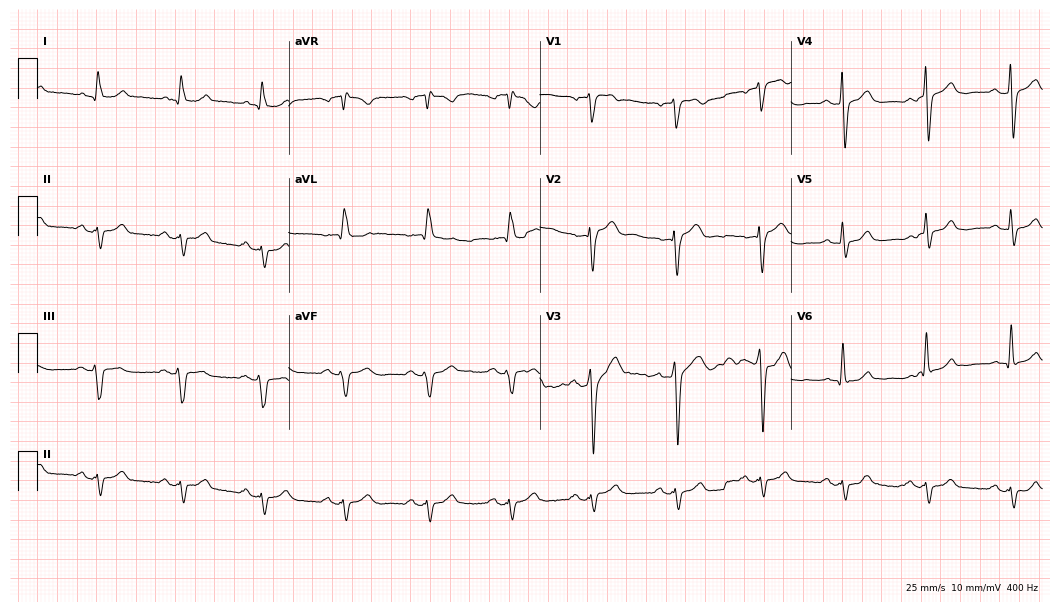
Electrocardiogram (10.2-second recording at 400 Hz), a man, 63 years old. Of the six screened findings (first-degree AV block, right bundle branch block, left bundle branch block, sinus bradycardia, atrial fibrillation, sinus tachycardia), none is recorded. Findings outside these six are not listed.